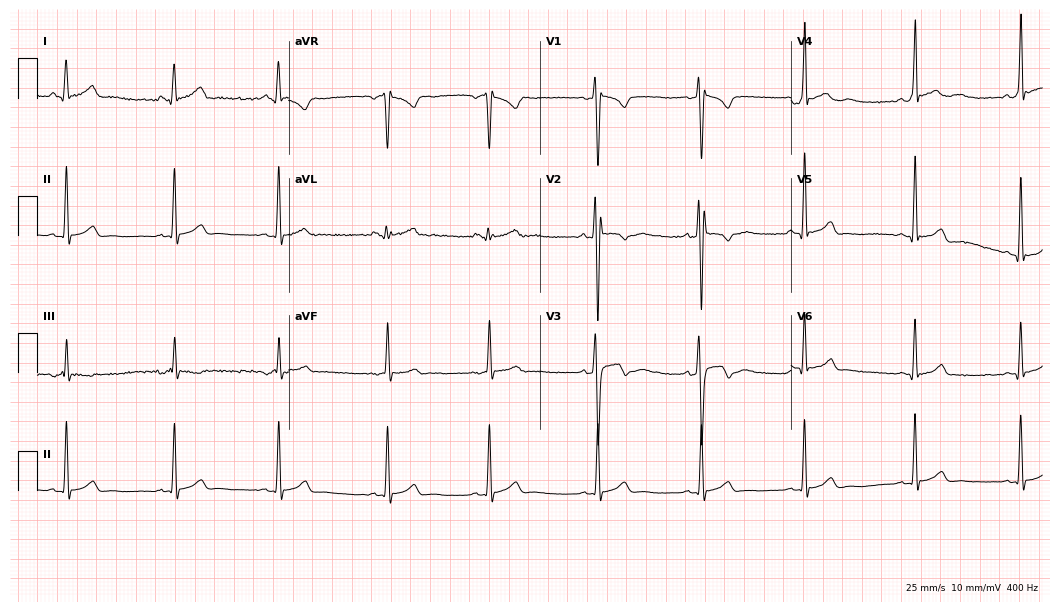
12-lead ECG from a male patient, 17 years old (10.2-second recording at 400 Hz). Recorded interpretation: within normal limits.